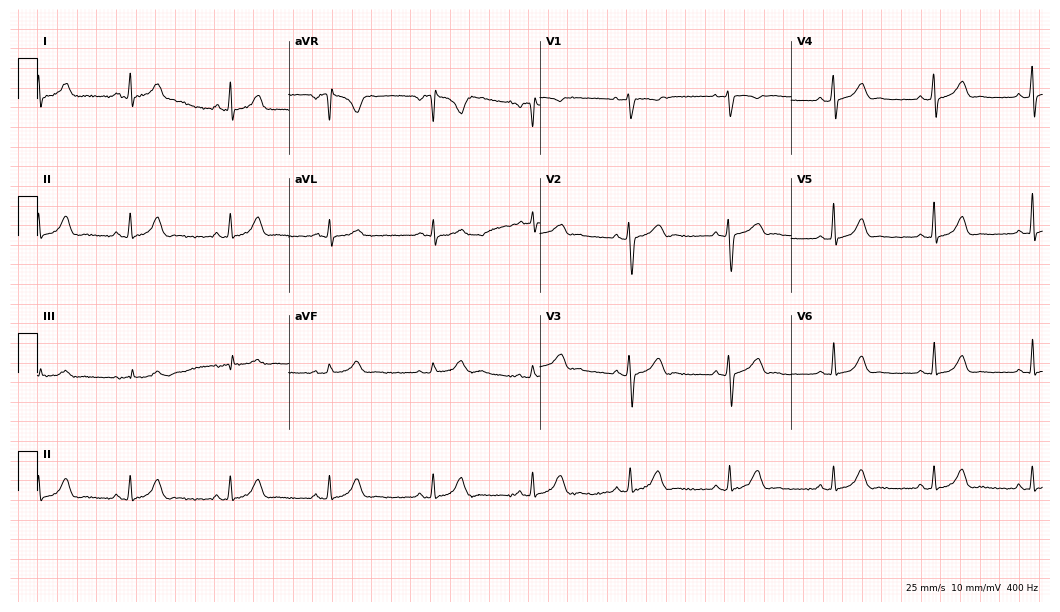
Electrocardiogram, a woman, 30 years old. Overall reading on record: normal ECG.